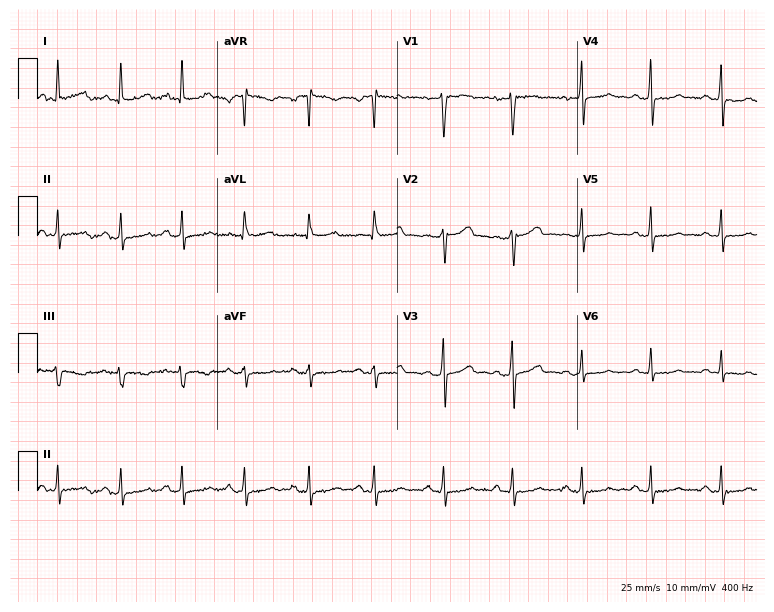
Electrocardiogram, a female patient, 46 years old. Overall reading on record: normal ECG.